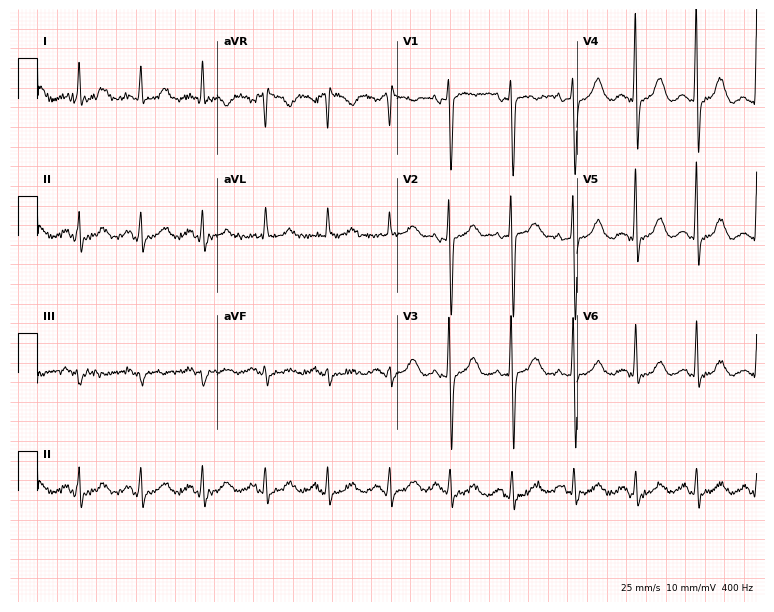
Resting 12-lead electrocardiogram. Patient: a 65-year-old female. None of these six findings is recorded: first-degree AV block, right bundle branch block (RBBB), left bundle branch block (LBBB), sinus bradycardia, atrial fibrillation (AF), sinus tachycardia. Findings outside these six are not listed.